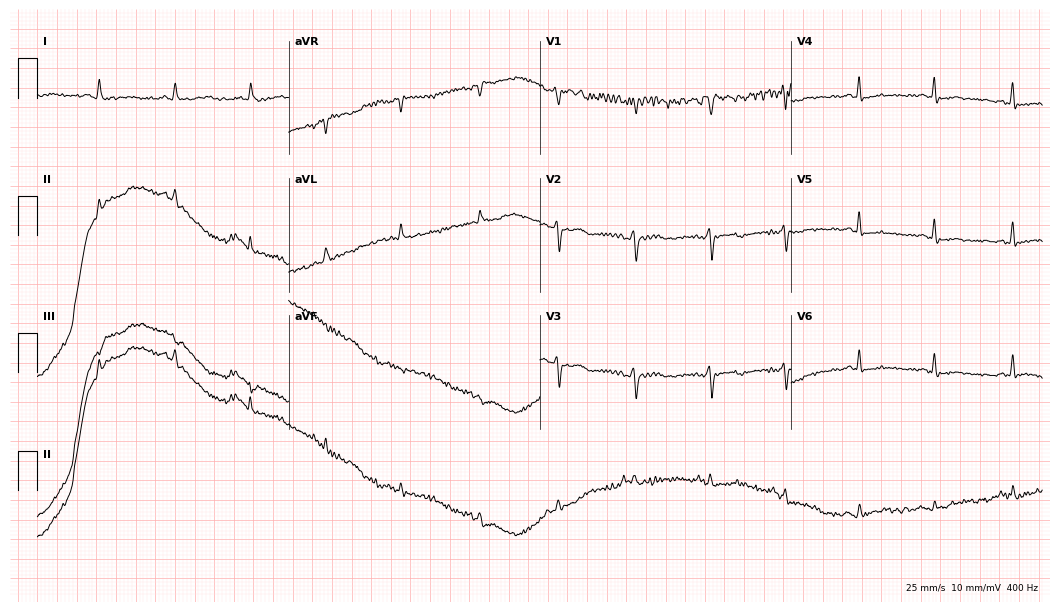
Electrocardiogram (10.2-second recording at 400 Hz), a female patient, 84 years old. Of the six screened findings (first-degree AV block, right bundle branch block, left bundle branch block, sinus bradycardia, atrial fibrillation, sinus tachycardia), none is recorded. Other findings, if any, are not listed.